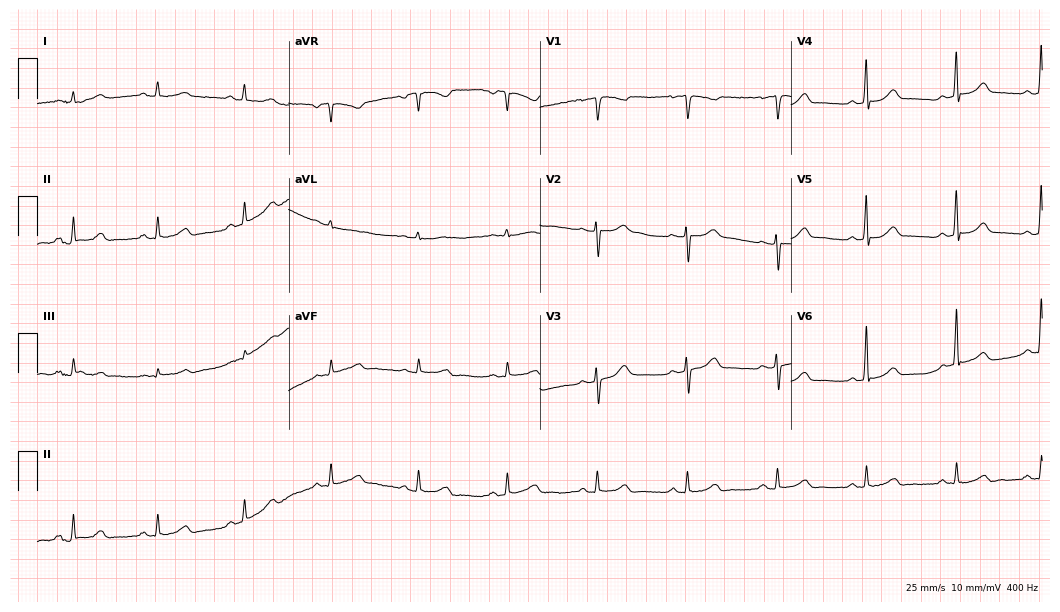
Standard 12-lead ECG recorded from a 45-year-old female (10.2-second recording at 400 Hz). None of these six findings is recorded: first-degree AV block, right bundle branch block (RBBB), left bundle branch block (LBBB), sinus bradycardia, atrial fibrillation (AF), sinus tachycardia.